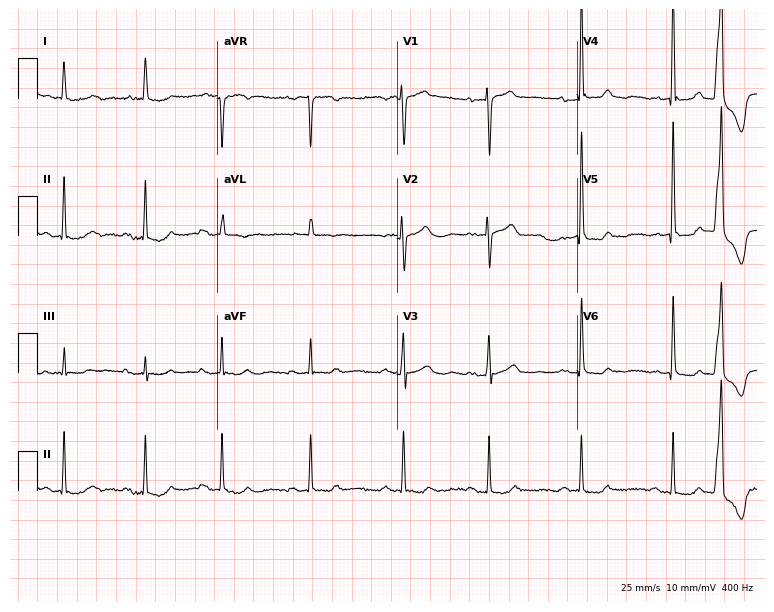
Standard 12-lead ECG recorded from an 83-year-old female (7.3-second recording at 400 Hz). None of these six findings is recorded: first-degree AV block, right bundle branch block (RBBB), left bundle branch block (LBBB), sinus bradycardia, atrial fibrillation (AF), sinus tachycardia.